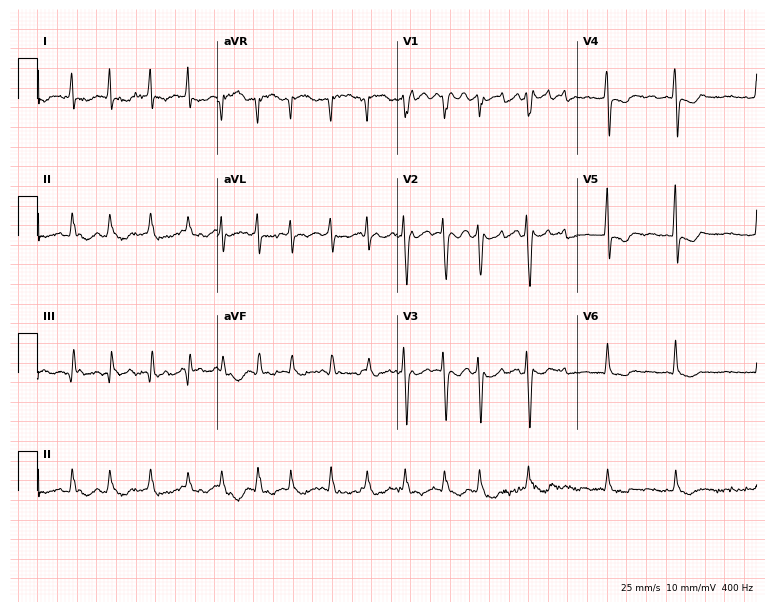
Electrocardiogram (7.3-second recording at 400 Hz), a 74-year-old woman. Interpretation includes atrial fibrillation.